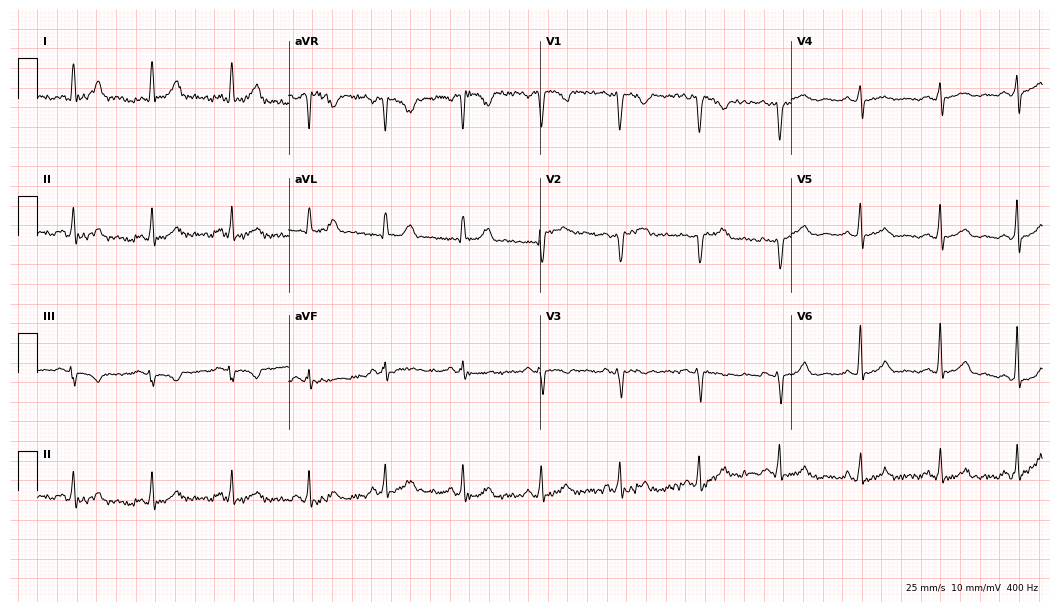
Standard 12-lead ECG recorded from a 38-year-old woman. Read as a normal ECG.